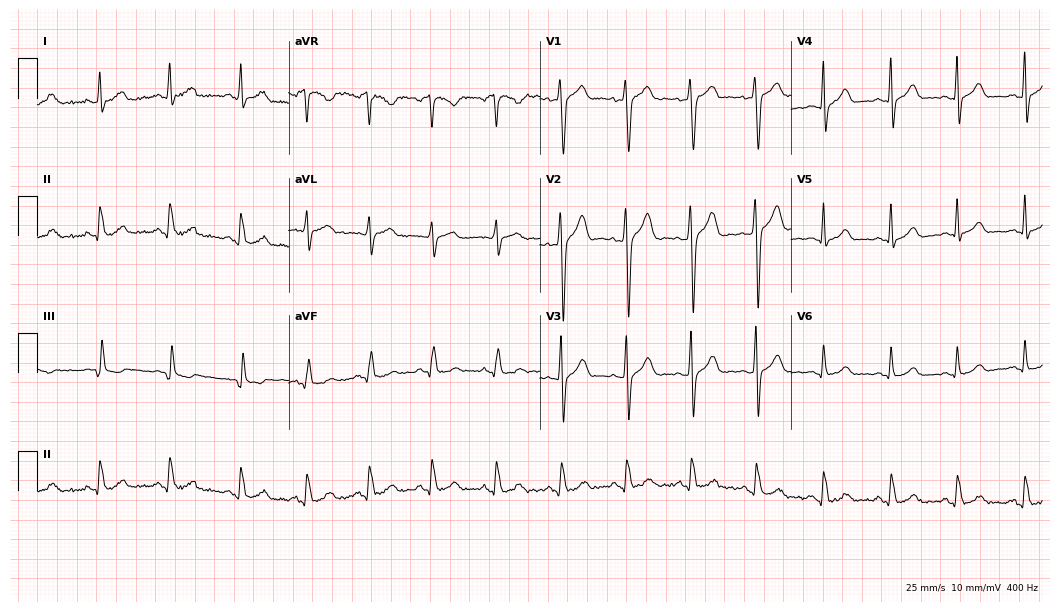
12-lead ECG from a male, 30 years old (10.2-second recording at 400 Hz). No first-degree AV block, right bundle branch block (RBBB), left bundle branch block (LBBB), sinus bradycardia, atrial fibrillation (AF) or sinus tachycardia recorded for this tracing.